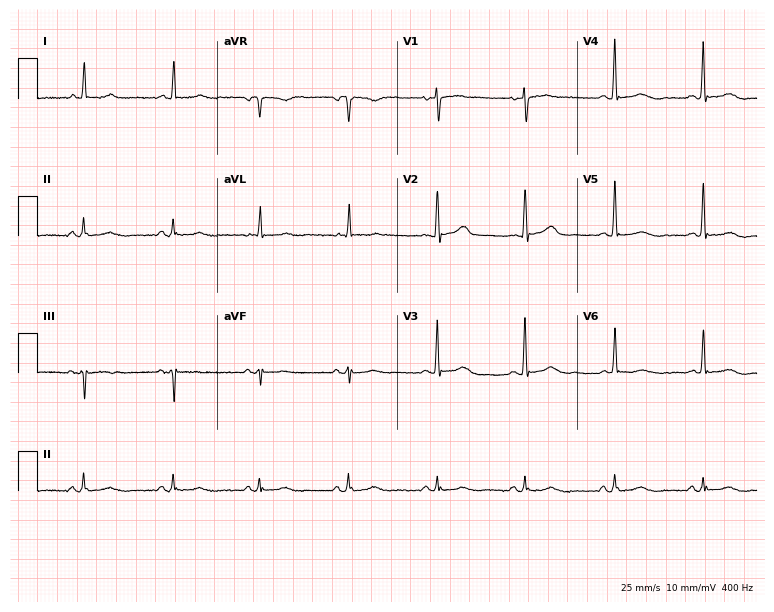
ECG — a female, 80 years old. Screened for six findings — first-degree AV block, right bundle branch block, left bundle branch block, sinus bradycardia, atrial fibrillation, sinus tachycardia — none is recorded. Other findings, if any, are not listed.